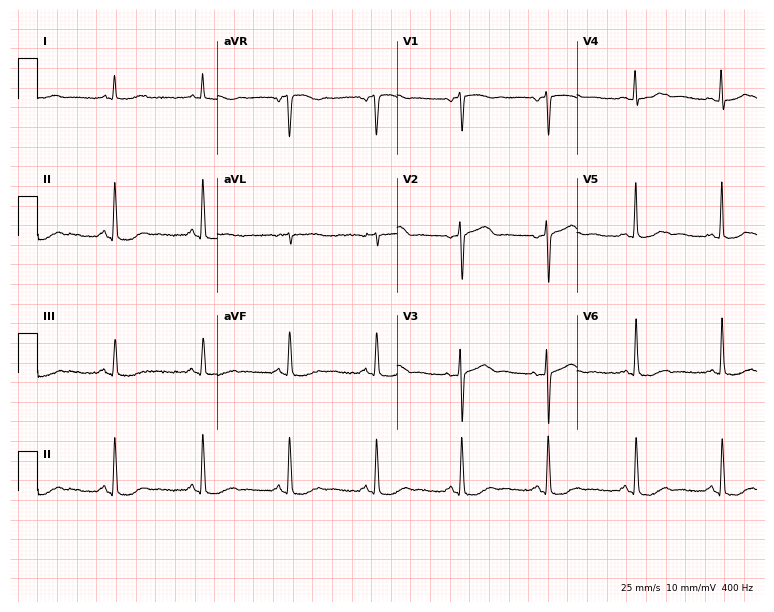
12-lead ECG from a woman, 77 years old. Recorded interpretation: within normal limits.